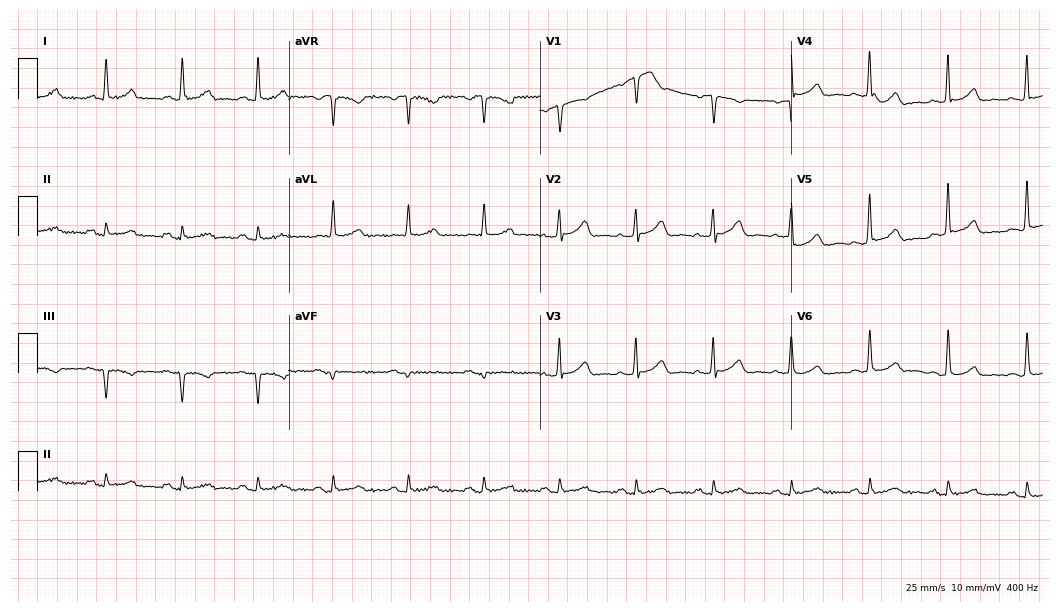
Resting 12-lead electrocardiogram (10.2-second recording at 400 Hz). Patient: a 68-year-old woman. Read as a normal ECG.